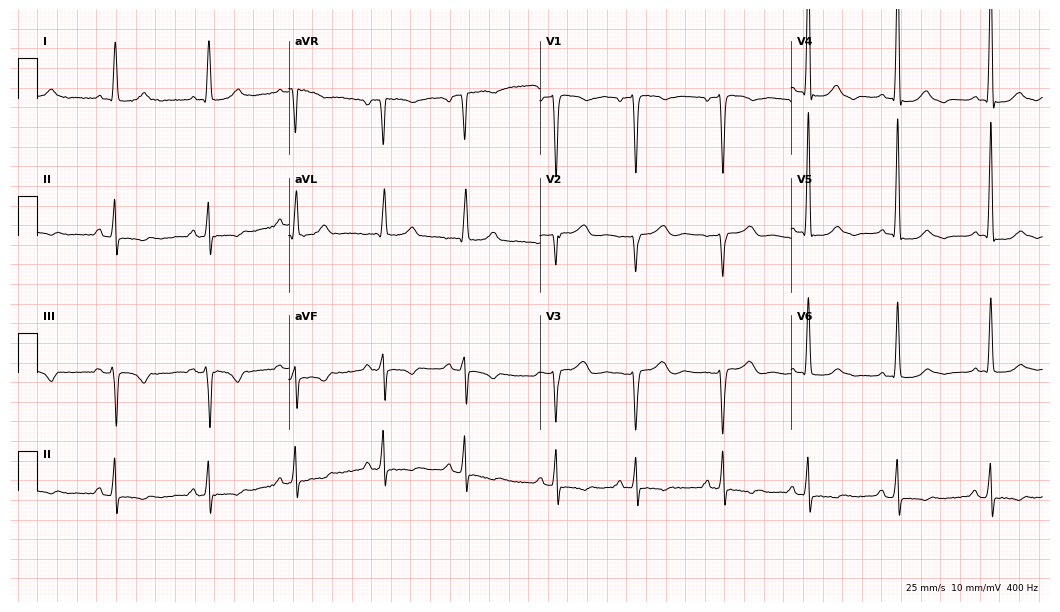
Resting 12-lead electrocardiogram. Patient: a female, 80 years old. None of these six findings is recorded: first-degree AV block, right bundle branch block, left bundle branch block, sinus bradycardia, atrial fibrillation, sinus tachycardia. Other findings, if any, are not listed.